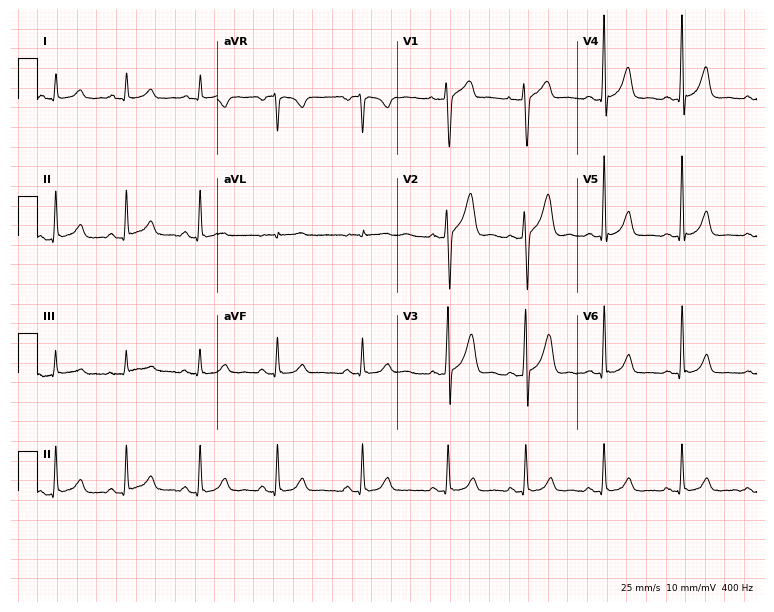
Electrocardiogram (7.3-second recording at 400 Hz), a 23-year-old male patient. Of the six screened findings (first-degree AV block, right bundle branch block (RBBB), left bundle branch block (LBBB), sinus bradycardia, atrial fibrillation (AF), sinus tachycardia), none is recorded. Only these six findings were labelled.